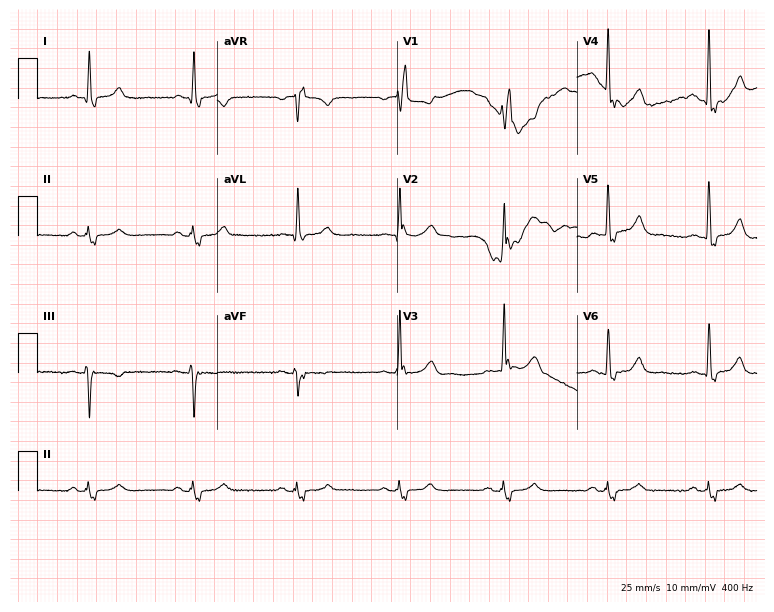
ECG (7.3-second recording at 400 Hz) — a 74-year-old man. Findings include right bundle branch block.